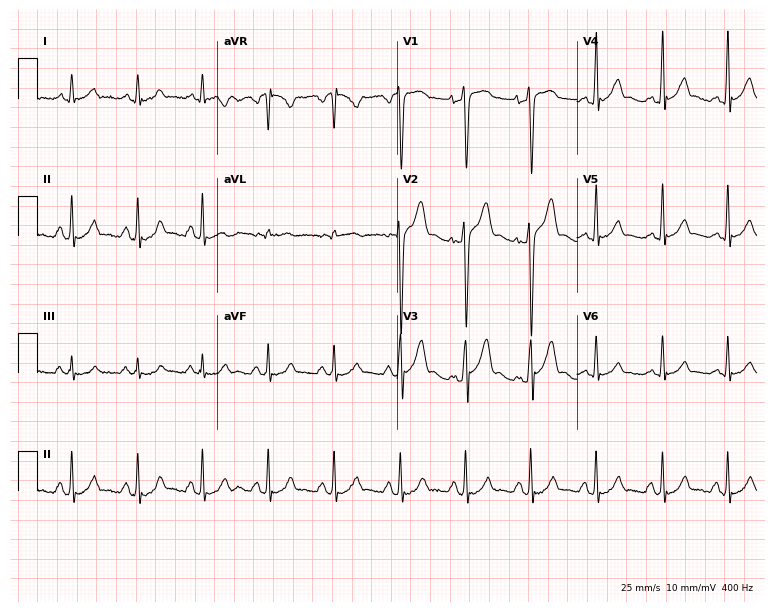
Electrocardiogram, a male, 32 years old. Of the six screened findings (first-degree AV block, right bundle branch block, left bundle branch block, sinus bradycardia, atrial fibrillation, sinus tachycardia), none is recorded. Only these six findings were labelled.